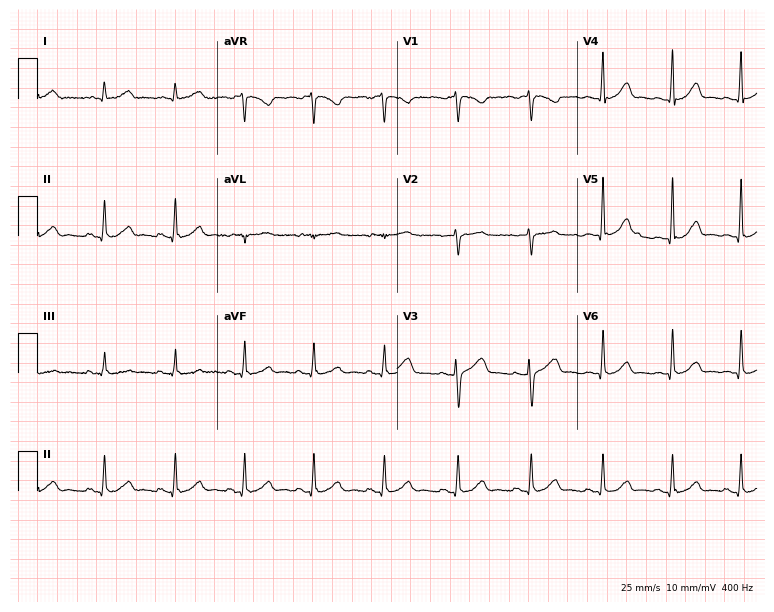
12-lead ECG from a 50-year-old woman. Recorded interpretation: within normal limits.